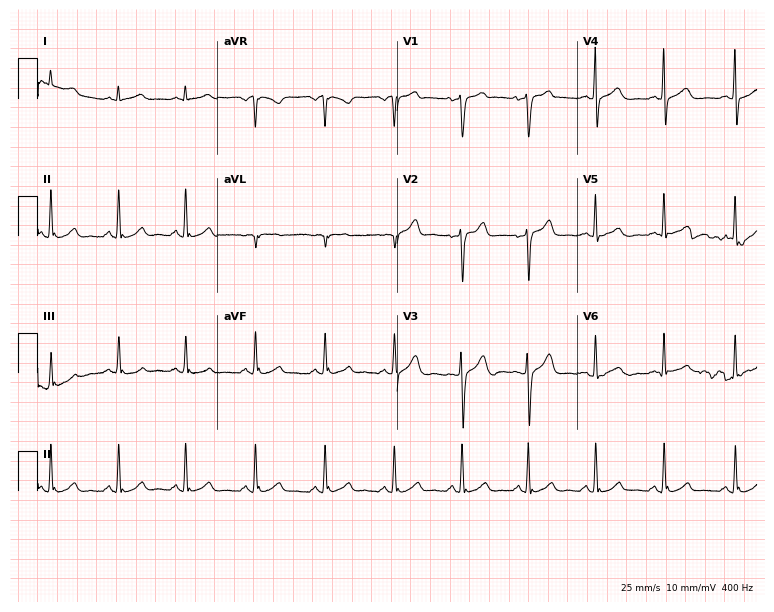
ECG (7.3-second recording at 400 Hz) — a 51-year-old man. Labelled as a normal ECG.